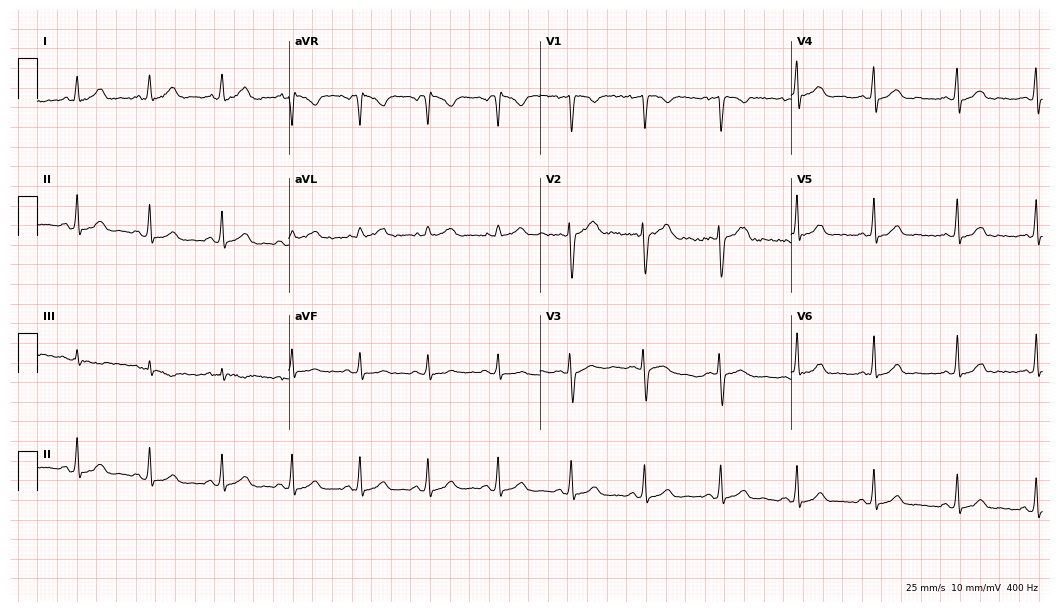
Resting 12-lead electrocardiogram (10.2-second recording at 400 Hz). Patient: a 20-year-old female. Read as a normal ECG.